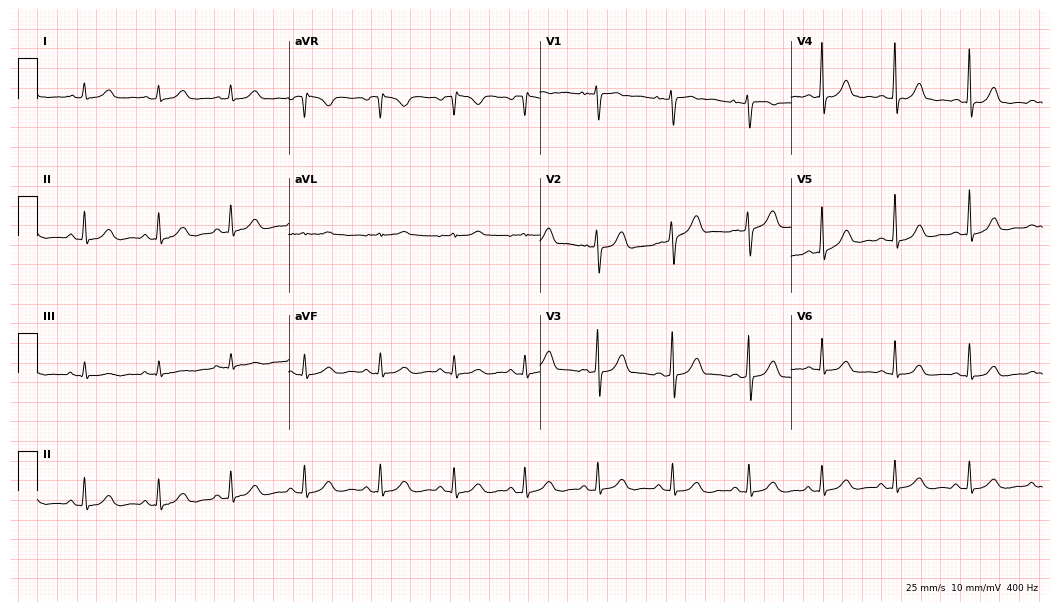
ECG (10.2-second recording at 400 Hz) — a female patient, 37 years old. Labelled as a normal ECG.